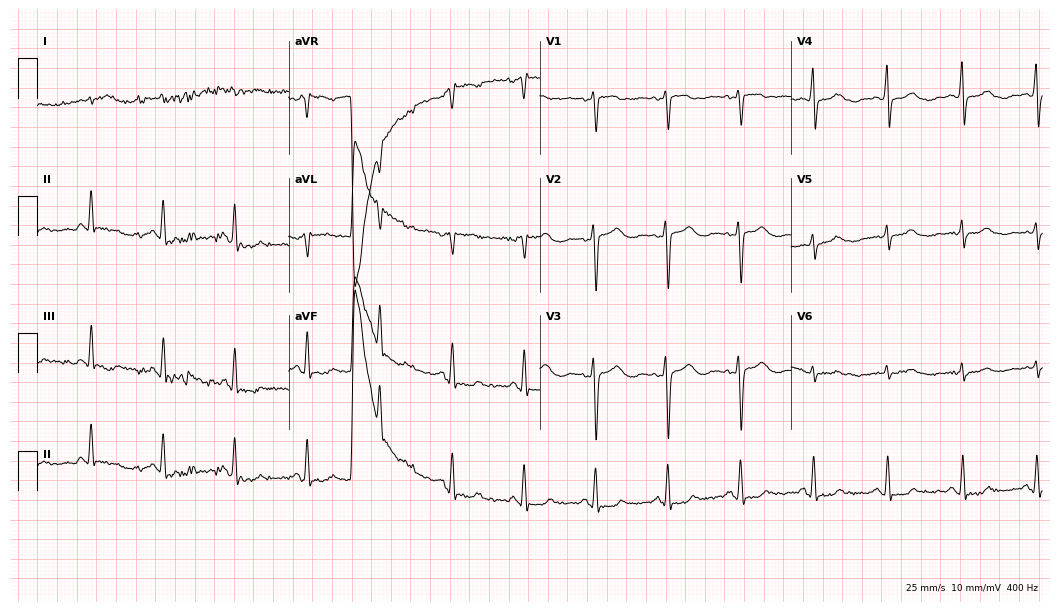
ECG (10.2-second recording at 400 Hz) — a female patient, 57 years old. Screened for six findings — first-degree AV block, right bundle branch block, left bundle branch block, sinus bradycardia, atrial fibrillation, sinus tachycardia — none is recorded. Findings outside these six are not listed.